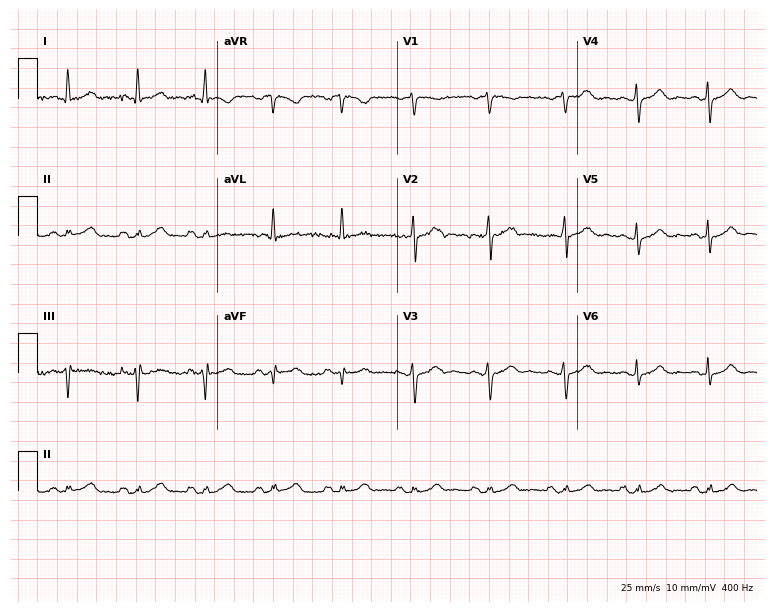
Standard 12-lead ECG recorded from a female patient, 73 years old. Read as a normal ECG.